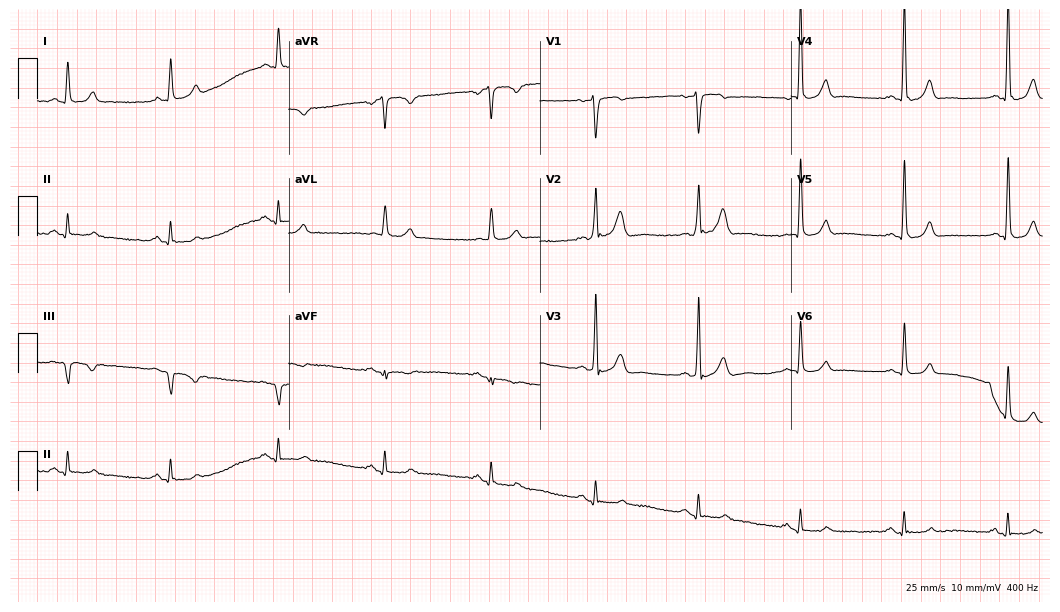
Resting 12-lead electrocardiogram. Patient: a male, 58 years old. Read as a normal ECG.